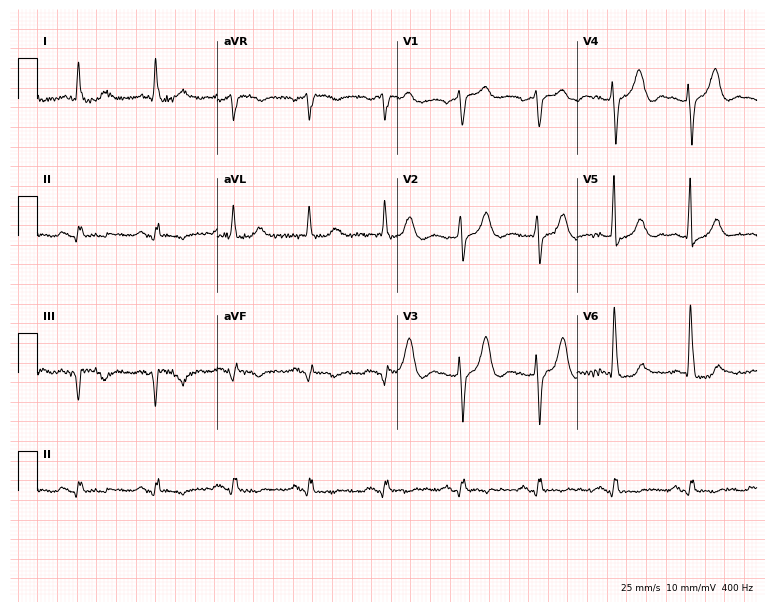
Standard 12-lead ECG recorded from a man, 75 years old. None of these six findings is recorded: first-degree AV block, right bundle branch block, left bundle branch block, sinus bradycardia, atrial fibrillation, sinus tachycardia.